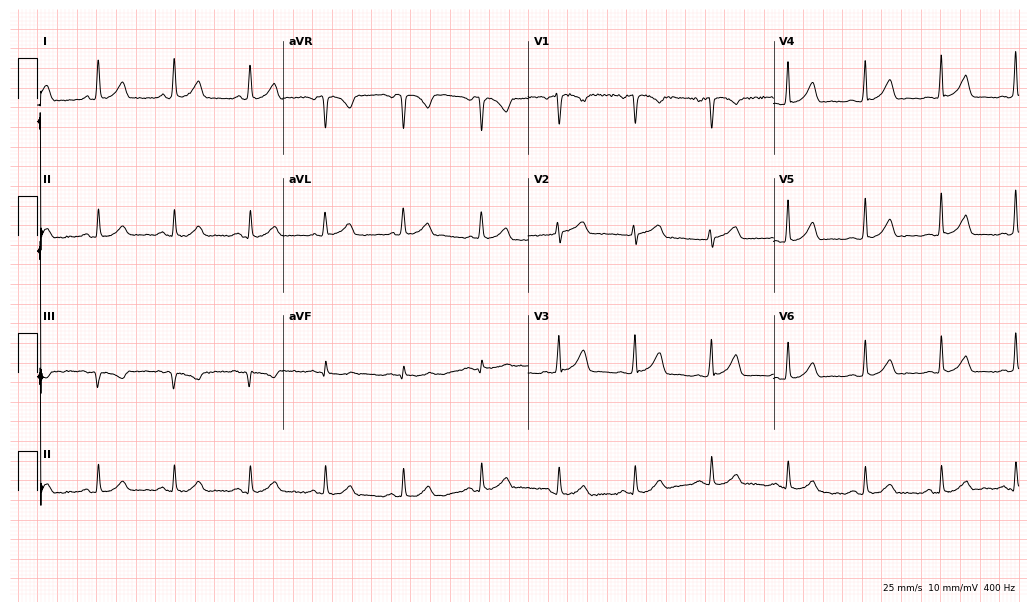
12-lead ECG from a 61-year-old woman. Recorded interpretation: within normal limits.